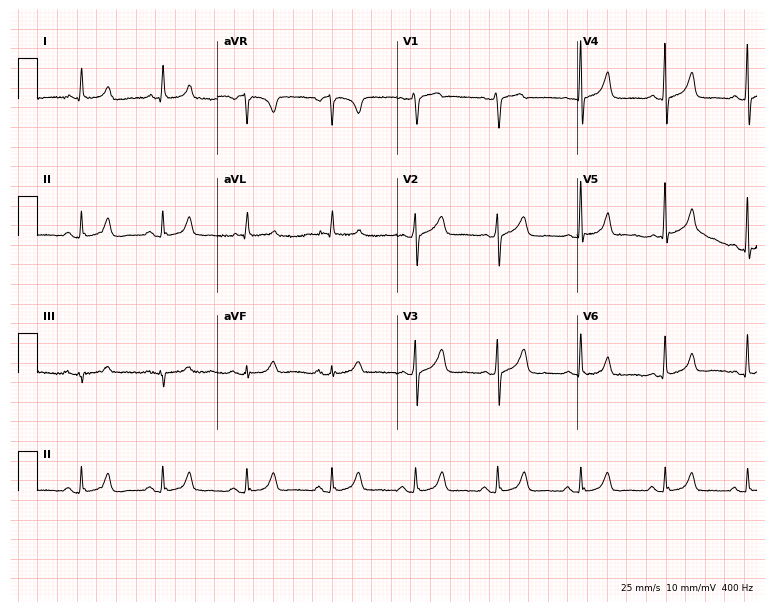
12-lead ECG (7.3-second recording at 400 Hz) from a 64-year-old female patient. Screened for six findings — first-degree AV block, right bundle branch block, left bundle branch block, sinus bradycardia, atrial fibrillation, sinus tachycardia — none is recorded.